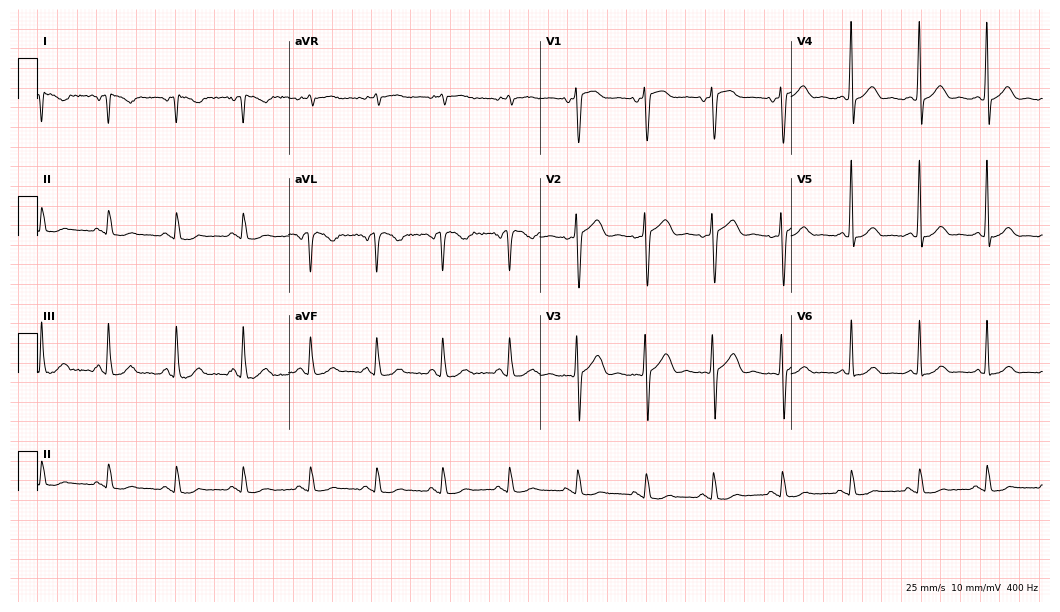
12-lead ECG from a female patient, 56 years old. No first-degree AV block, right bundle branch block (RBBB), left bundle branch block (LBBB), sinus bradycardia, atrial fibrillation (AF) or sinus tachycardia recorded for this tracing. Other findings, if any, are not listed.